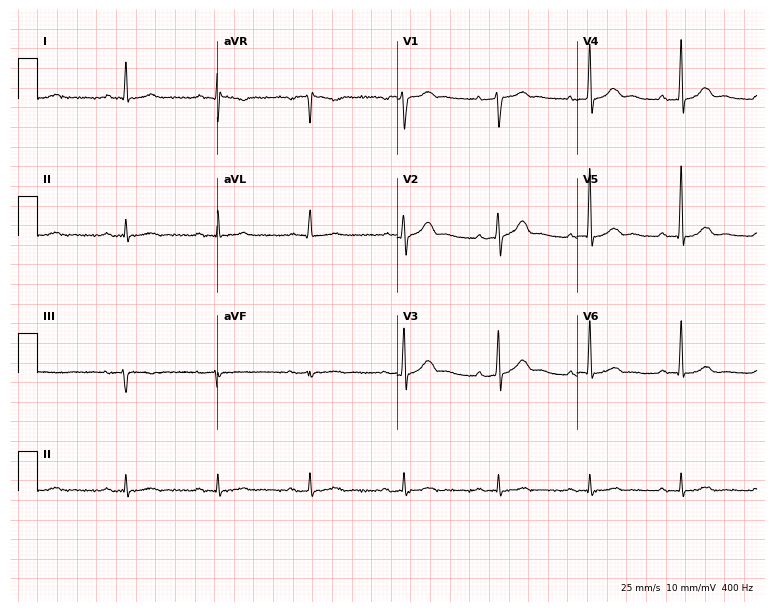
12-lead ECG from a male patient, 68 years old. Labelled as a normal ECG.